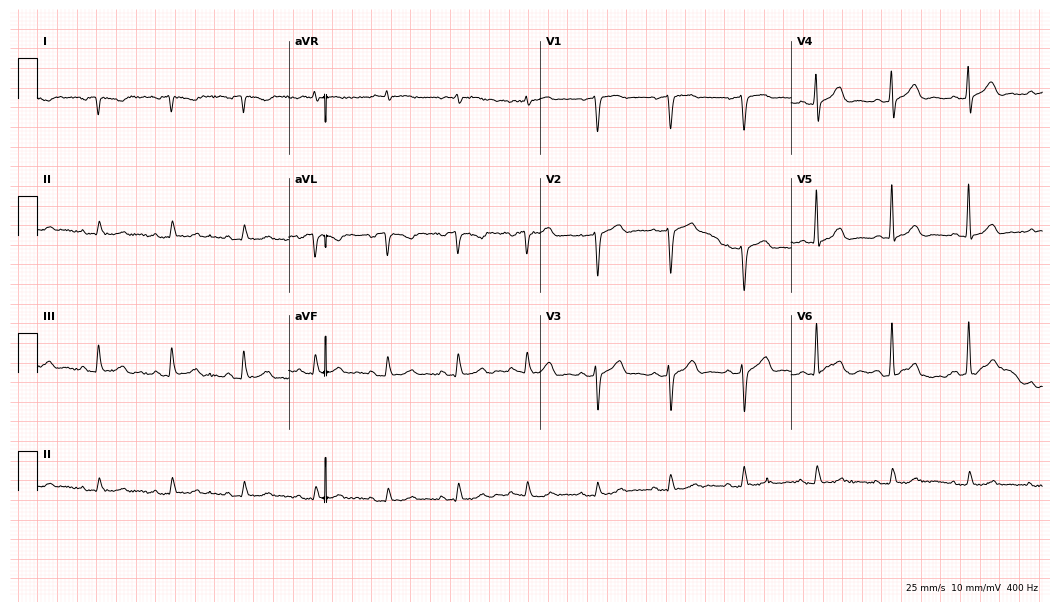
Standard 12-lead ECG recorded from a 74-year-old man. None of these six findings is recorded: first-degree AV block, right bundle branch block, left bundle branch block, sinus bradycardia, atrial fibrillation, sinus tachycardia. Findings outside these six are not listed.